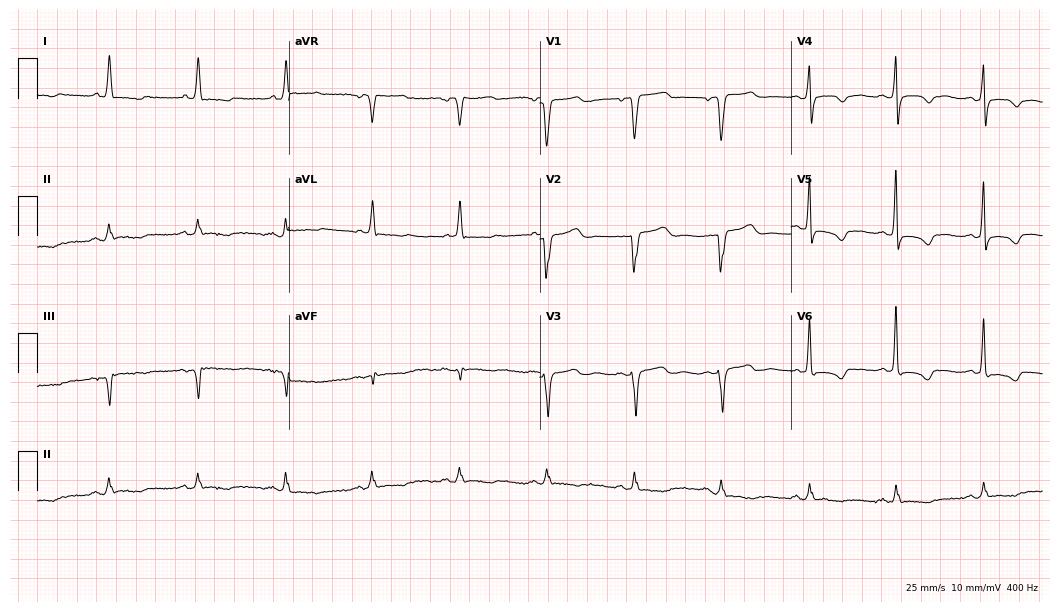
12-lead ECG (10.2-second recording at 400 Hz) from a 72-year-old female. Screened for six findings — first-degree AV block, right bundle branch block, left bundle branch block, sinus bradycardia, atrial fibrillation, sinus tachycardia — none is recorded.